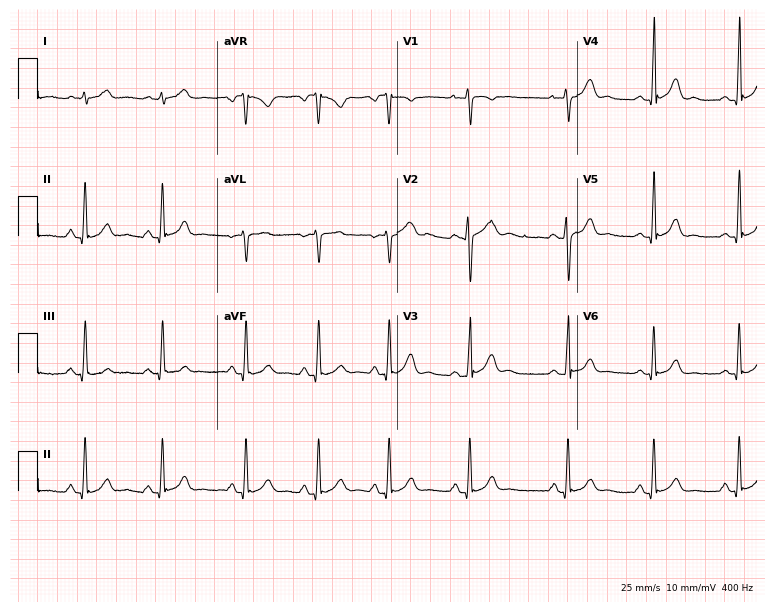
ECG — a female patient, 24 years old. Screened for six findings — first-degree AV block, right bundle branch block, left bundle branch block, sinus bradycardia, atrial fibrillation, sinus tachycardia — none is recorded. Other findings, if any, are not listed.